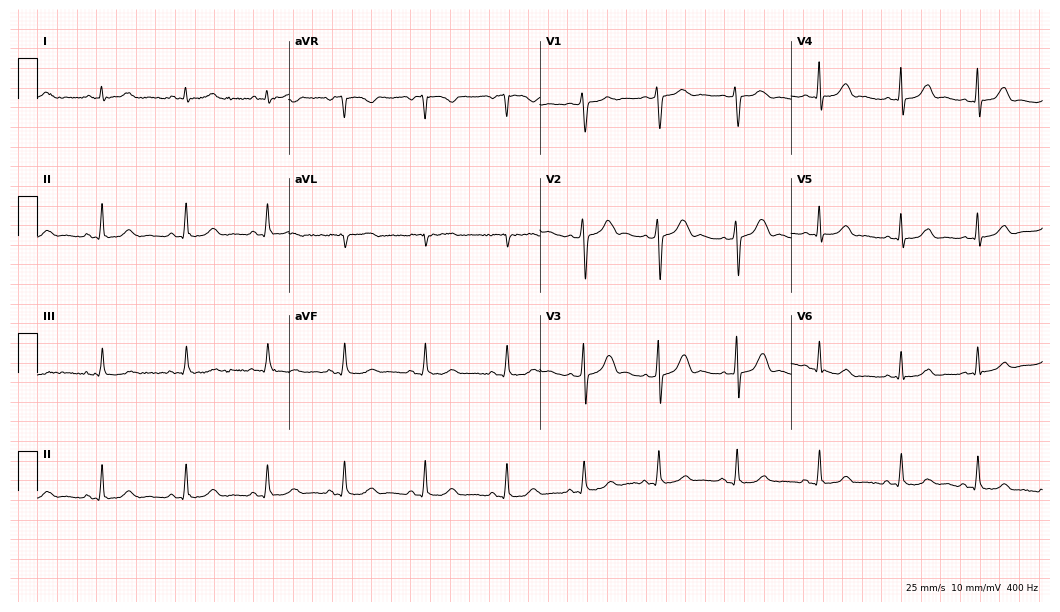
Resting 12-lead electrocardiogram (10.2-second recording at 400 Hz). Patient: a 24-year-old female. Read as a normal ECG.